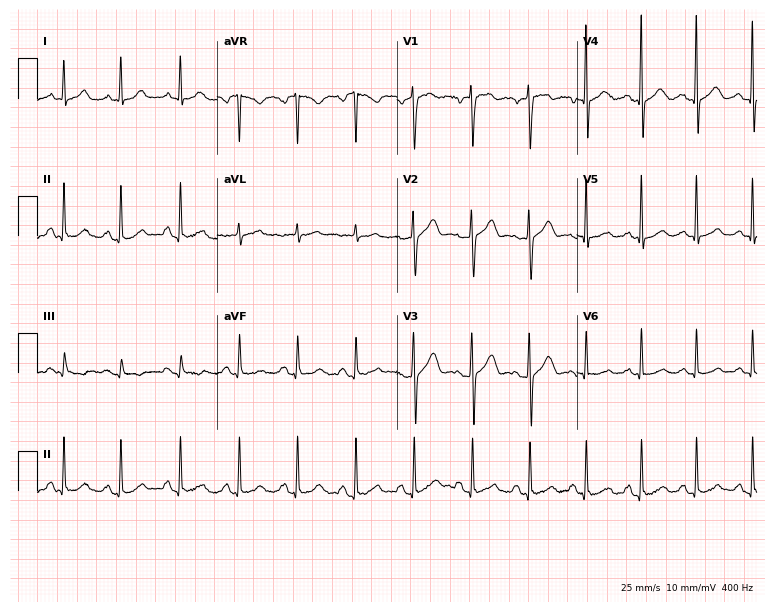
Resting 12-lead electrocardiogram. Patient: a 47-year-old female. Read as a normal ECG.